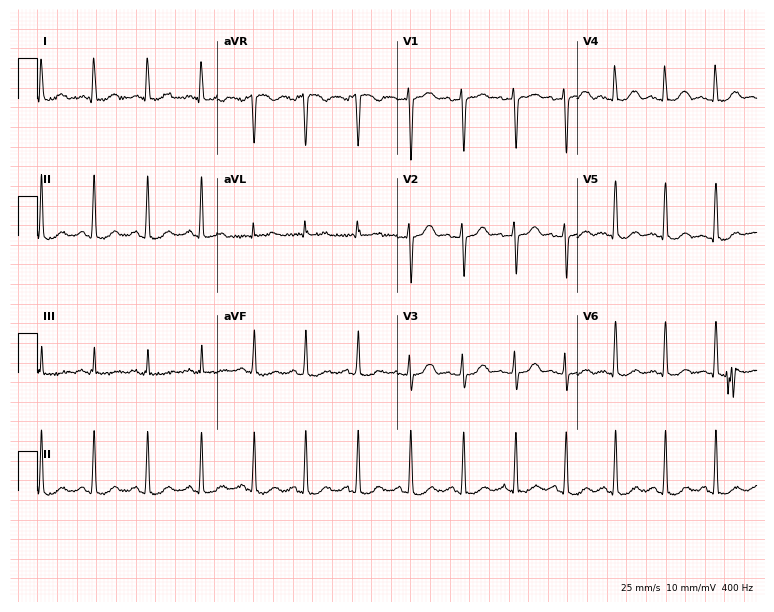
Electrocardiogram, a 39-year-old female patient. Interpretation includes sinus tachycardia (a sinus rate of 100 beats per minute or more).